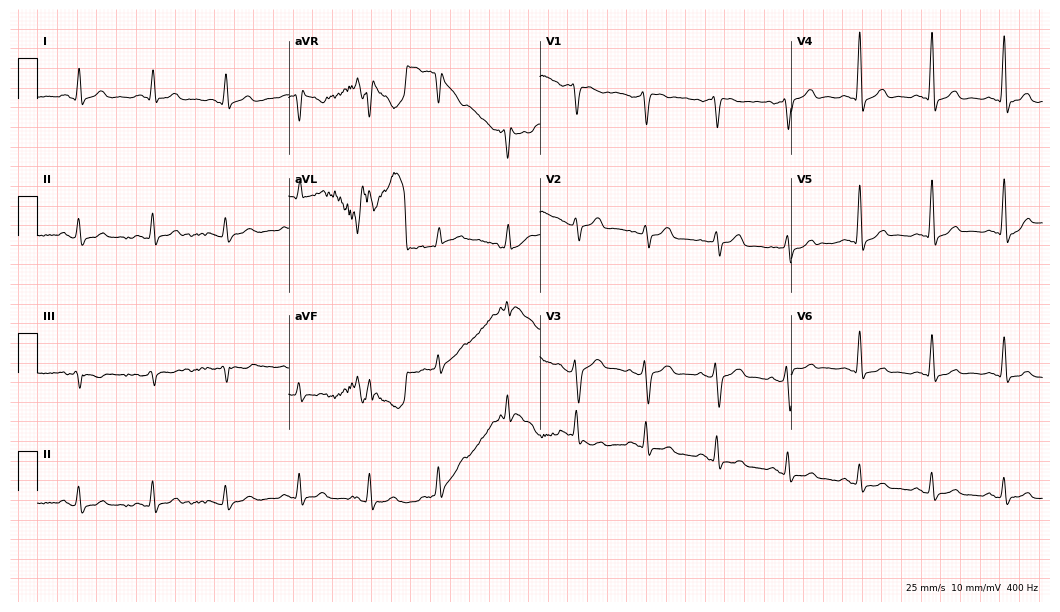
12-lead ECG from a man, 53 years old. No first-degree AV block, right bundle branch block, left bundle branch block, sinus bradycardia, atrial fibrillation or sinus tachycardia recorded for this tracing.